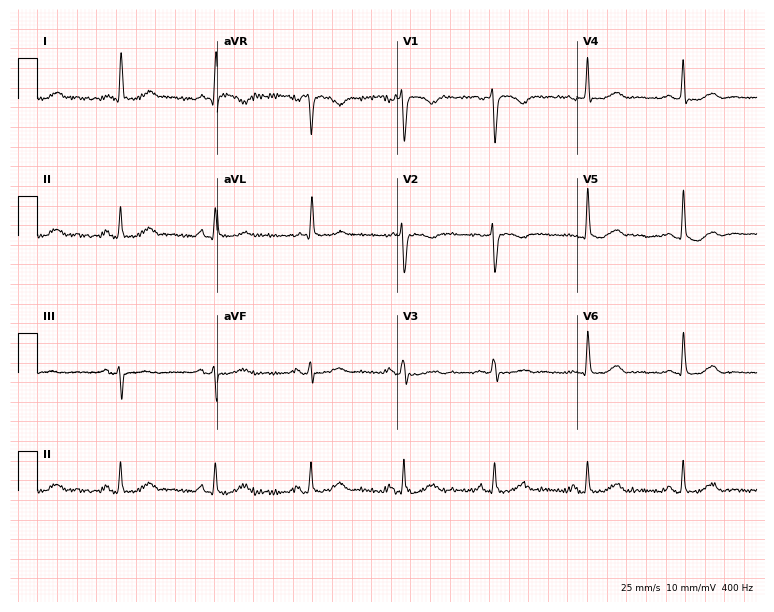
Standard 12-lead ECG recorded from a 51-year-old female (7.3-second recording at 400 Hz). Read as a normal ECG.